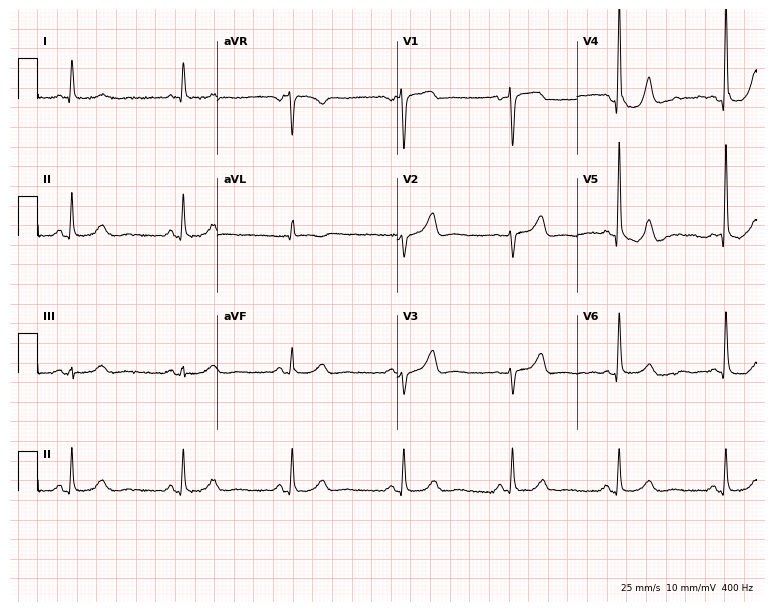
ECG (7.3-second recording at 400 Hz) — a 63-year-old female patient. Screened for six findings — first-degree AV block, right bundle branch block (RBBB), left bundle branch block (LBBB), sinus bradycardia, atrial fibrillation (AF), sinus tachycardia — none is recorded.